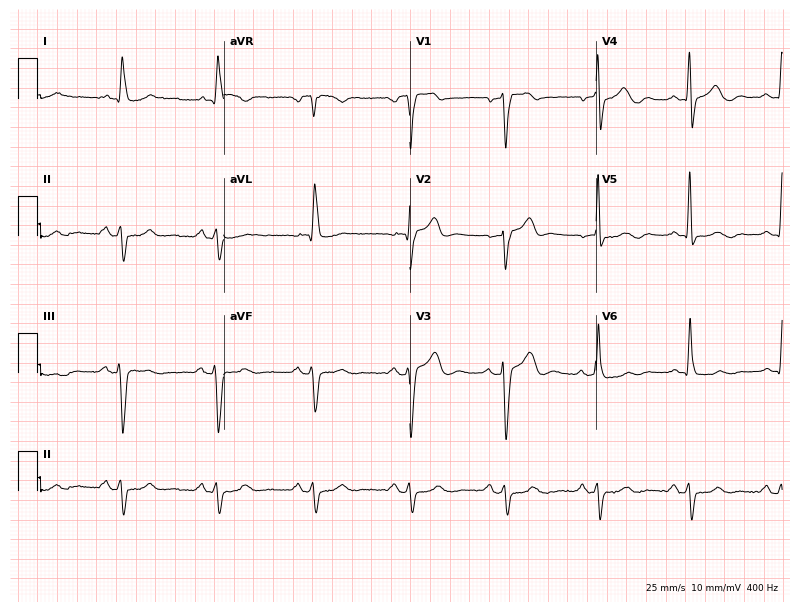
12-lead ECG from a male patient, 70 years old. Findings include left bundle branch block.